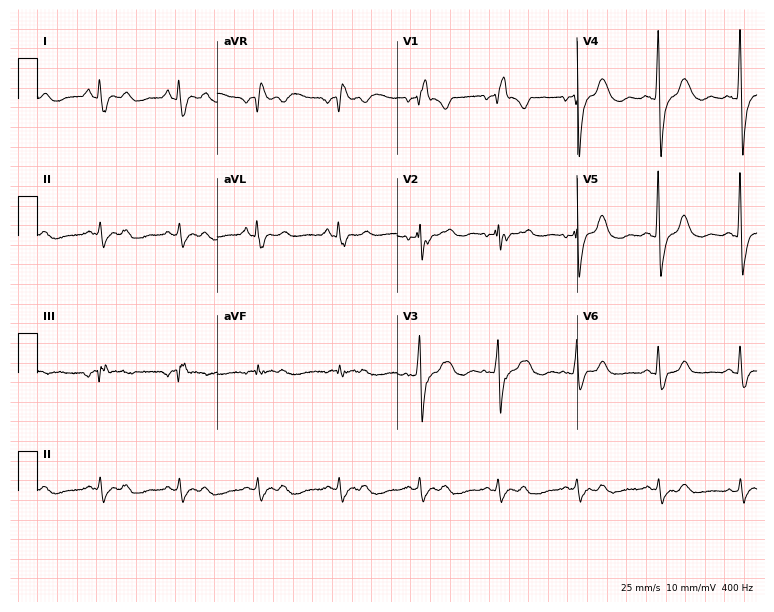
Resting 12-lead electrocardiogram (7.3-second recording at 400 Hz). Patient: a man, 83 years old. None of these six findings is recorded: first-degree AV block, right bundle branch block, left bundle branch block, sinus bradycardia, atrial fibrillation, sinus tachycardia.